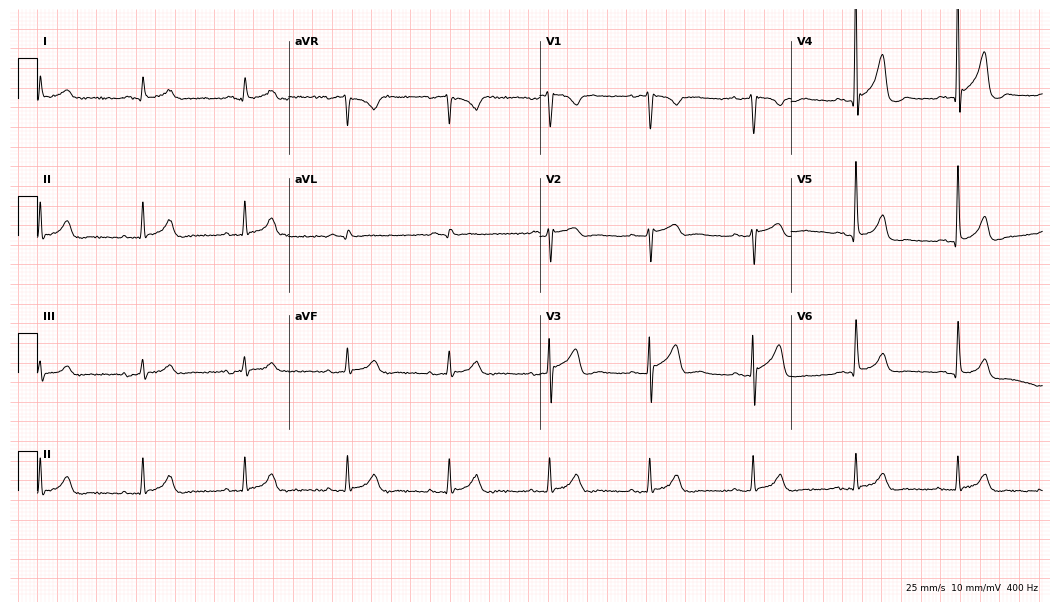
12-lead ECG from a male patient, 77 years old. Recorded interpretation: within normal limits.